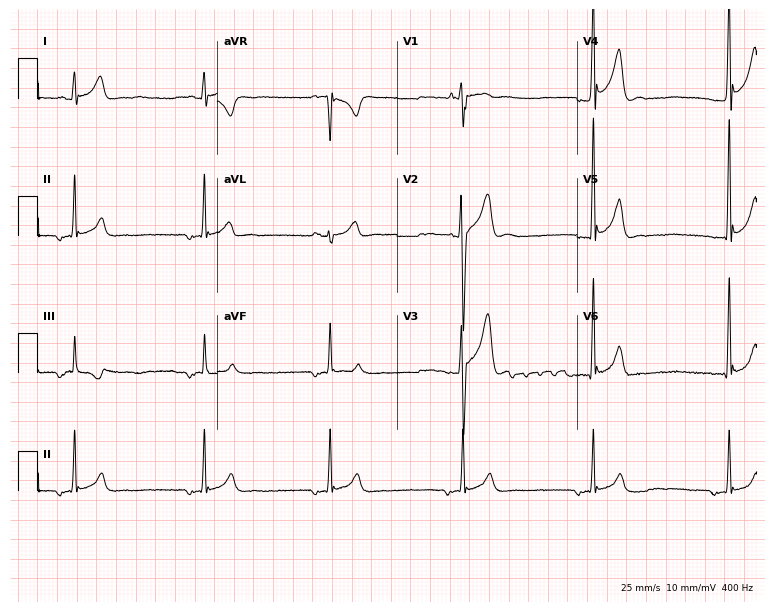
12-lead ECG from a male, 21 years old (7.3-second recording at 400 Hz). No first-degree AV block, right bundle branch block (RBBB), left bundle branch block (LBBB), sinus bradycardia, atrial fibrillation (AF) or sinus tachycardia recorded for this tracing.